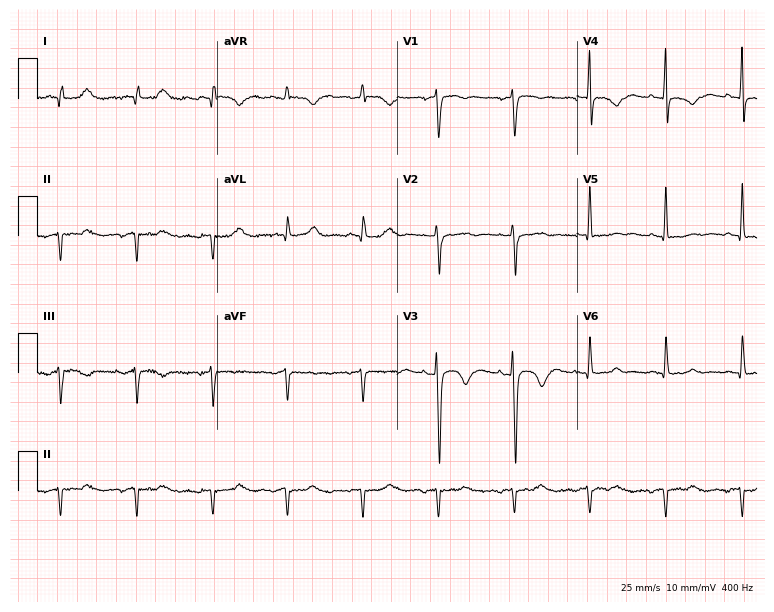
12-lead ECG (7.3-second recording at 400 Hz) from a 74-year-old female patient. Screened for six findings — first-degree AV block, right bundle branch block, left bundle branch block, sinus bradycardia, atrial fibrillation, sinus tachycardia — none is recorded.